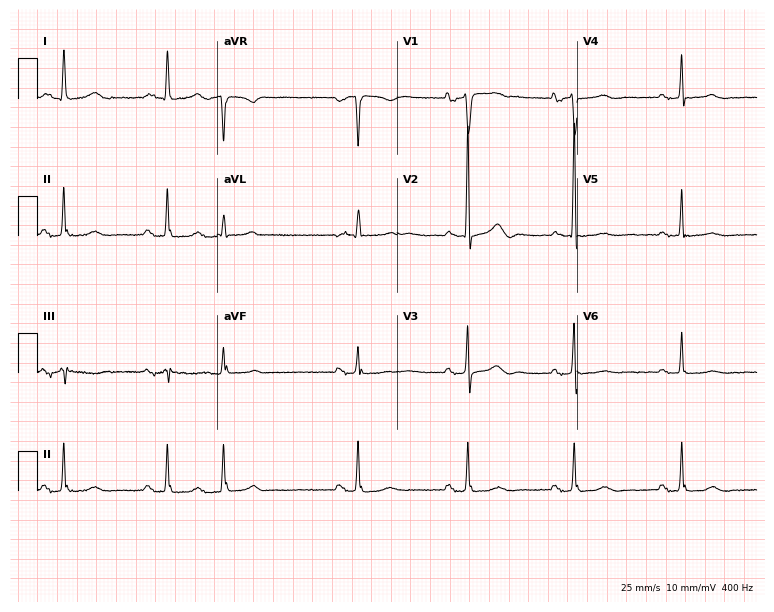
Electrocardiogram (7.3-second recording at 400 Hz), an 80-year-old male patient. Overall reading on record: normal ECG.